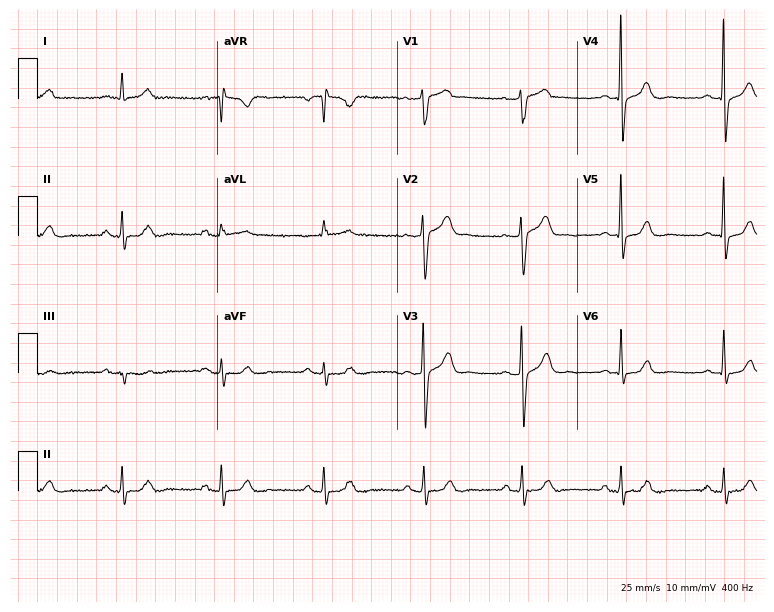
12-lead ECG from a male patient, 61 years old (7.3-second recording at 400 Hz). No first-degree AV block, right bundle branch block, left bundle branch block, sinus bradycardia, atrial fibrillation or sinus tachycardia recorded for this tracing.